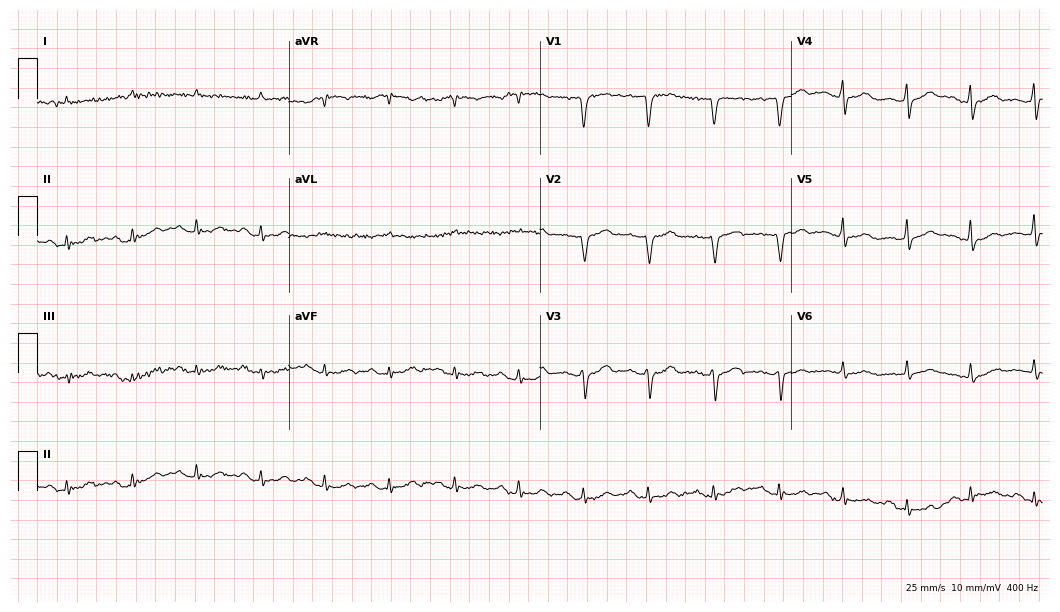
12-lead ECG from a 76-year-old male. Screened for six findings — first-degree AV block, right bundle branch block, left bundle branch block, sinus bradycardia, atrial fibrillation, sinus tachycardia — none is recorded.